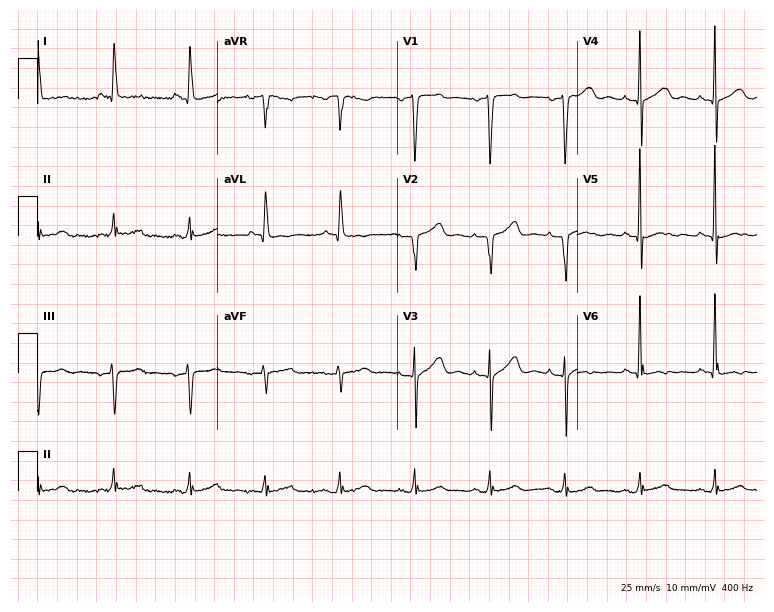
Resting 12-lead electrocardiogram. Patient: a female, 74 years old. None of these six findings is recorded: first-degree AV block, right bundle branch block, left bundle branch block, sinus bradycardia, atrial fibrillation, sinus tachycardia. Findings outside these six are not listed.